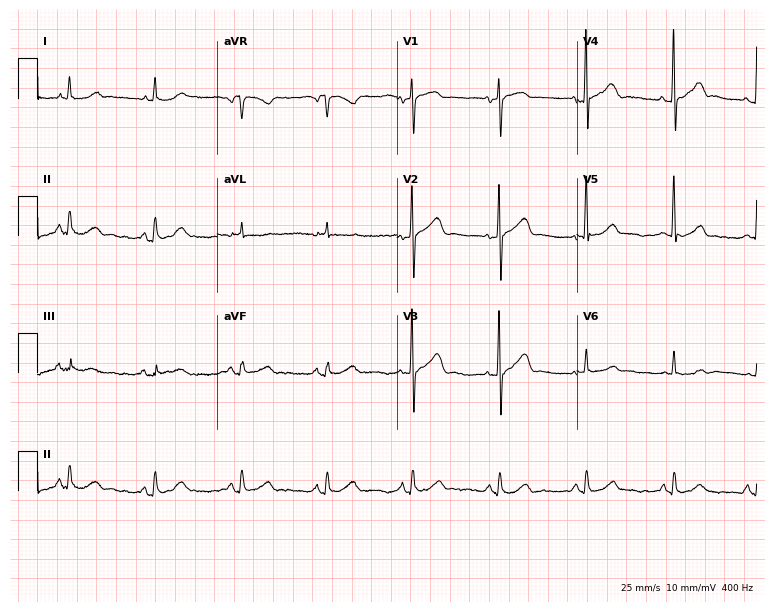
Electrocardiogram (7.3-second recording at 400 Hz), a 77-year-old female. Of the six screened findings (first-degree AV block, right bundle branch block, left bundle branch block, sinus bradycardia, atrial fibrillation, sinus tachycardia), none is recorded.